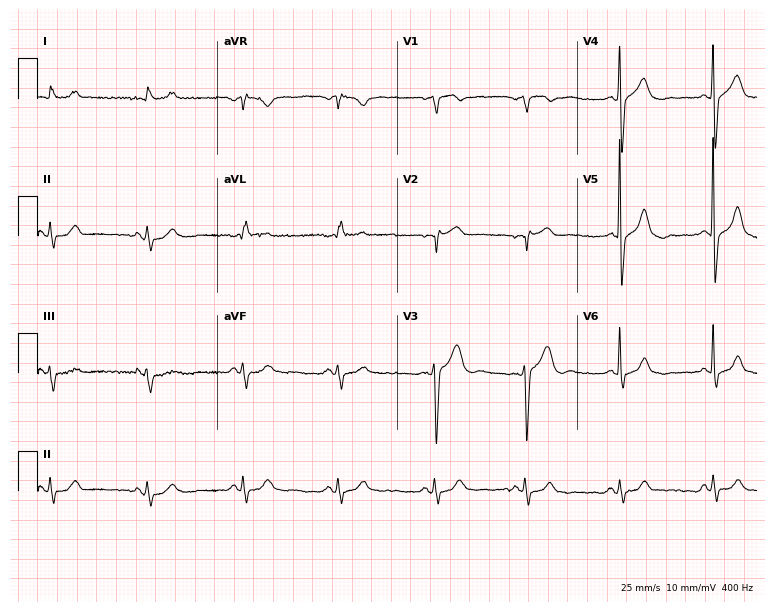
12-lead ECG (7.3-second recording at 400 Hz) from a male patient, 66 years old. Labelled as a normal ECG.